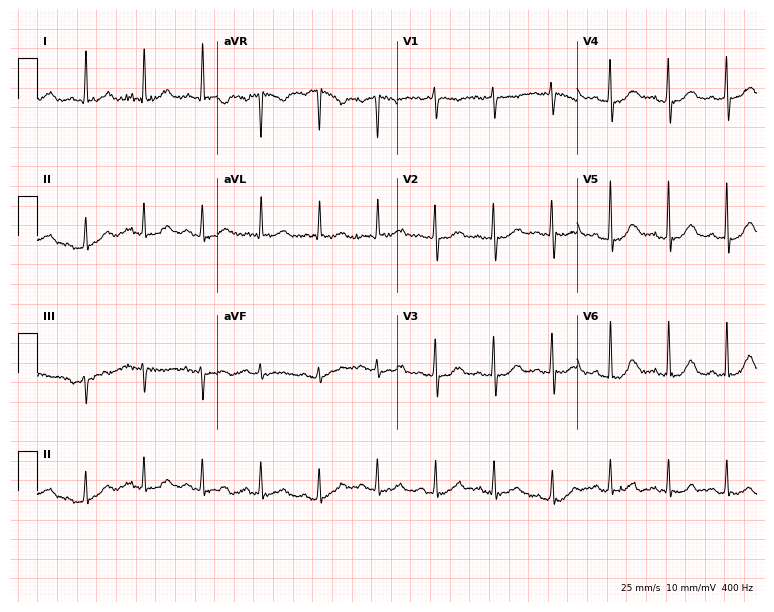
ECG — a woman, 82 years old. Labelled as a normal ECG.